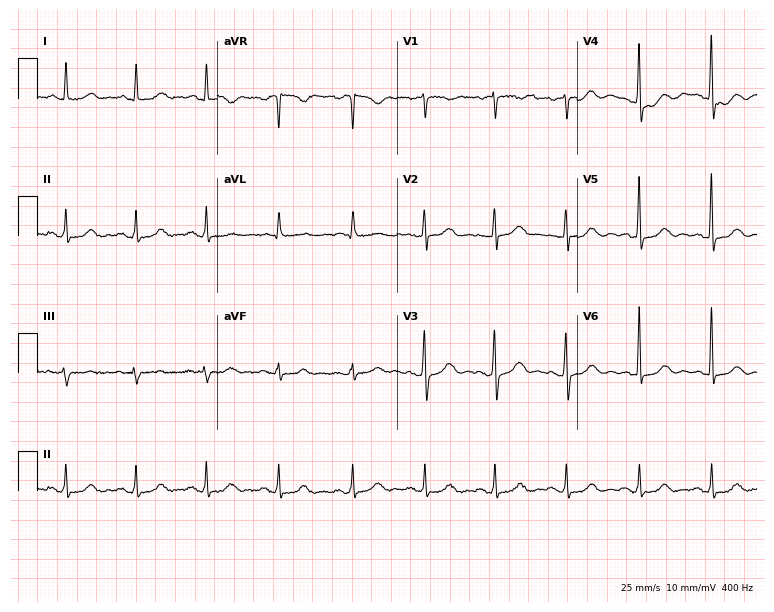
Electrocardiogram (7.3-second recording at 400 Hz), a female patient, 66 years old. Overall reading on record: normal ECG.